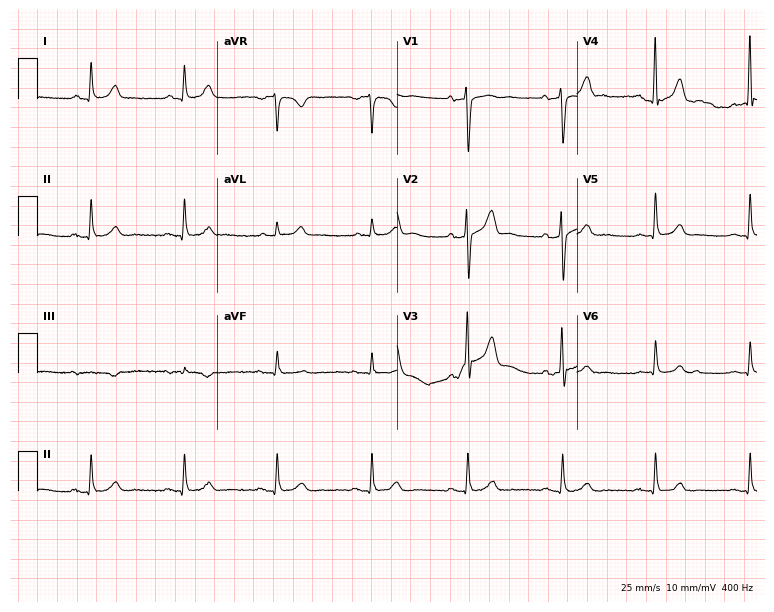
ECG (7.3-second recording at 400 Hz) — an 84-year-old male. Screened for six findings — first-degree AV block, right bundle branch block, left bundle branch block, sinus bradycardia, atrial fibrillation, sinus tachycardia — none is recorded. Other findings, if any, are not listed.